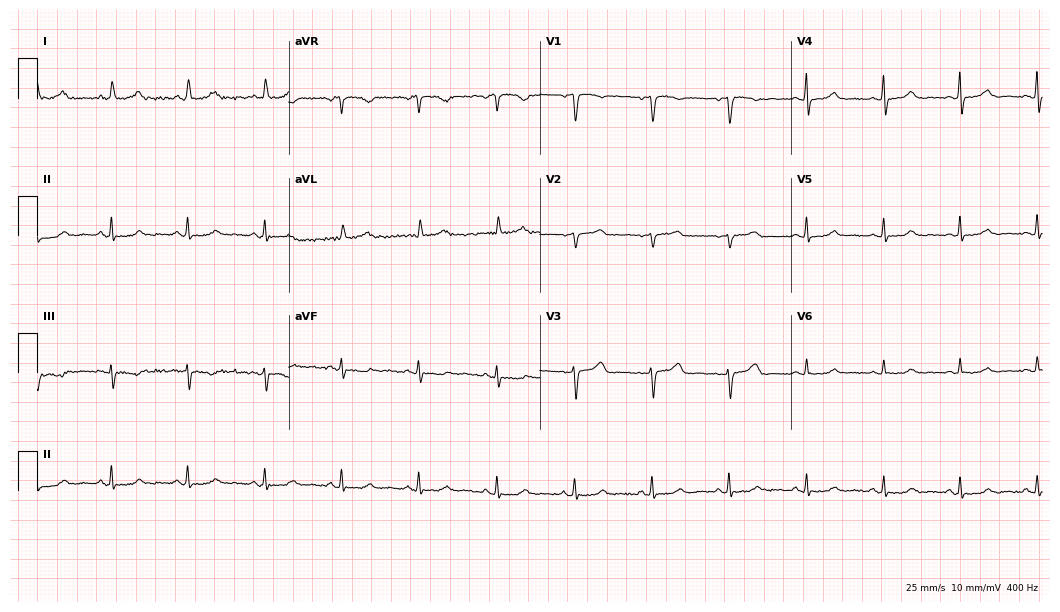
12-lead ECG from a 46-year-old woman (10.2-second recording at 400 Hz). No first-degree AV block, right bundle branch block, left bundle branch block, sinus bradycardia, atrial fibrillation or sinus tachycardia recorded for this tracing.